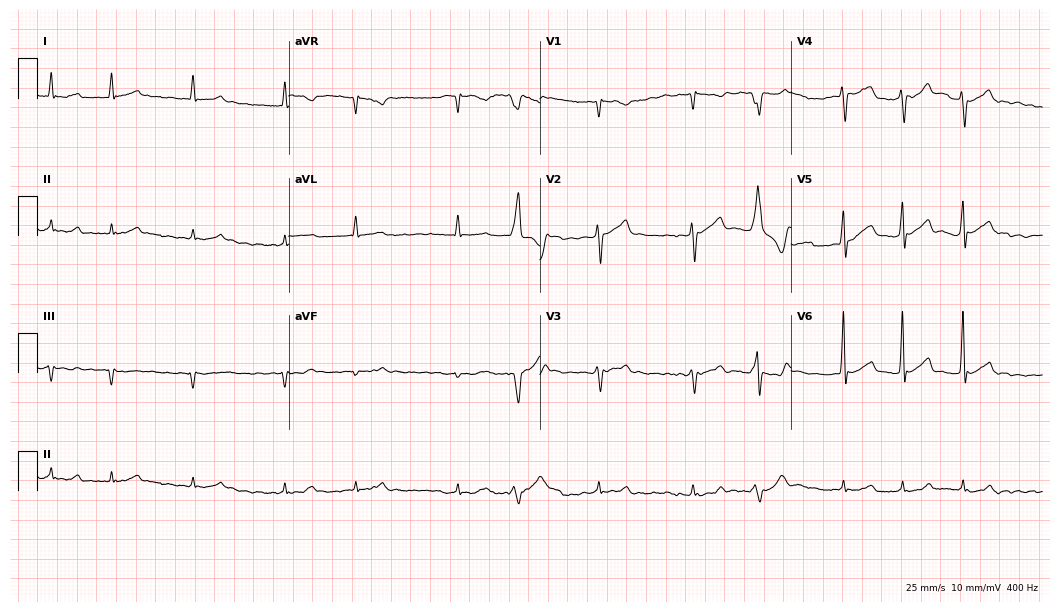
Resting 12-lead electrocardiogram (10.2-second recording at 400 Hz). Patient: a man, 78 years old. The tracing shows atrial fibrillation.